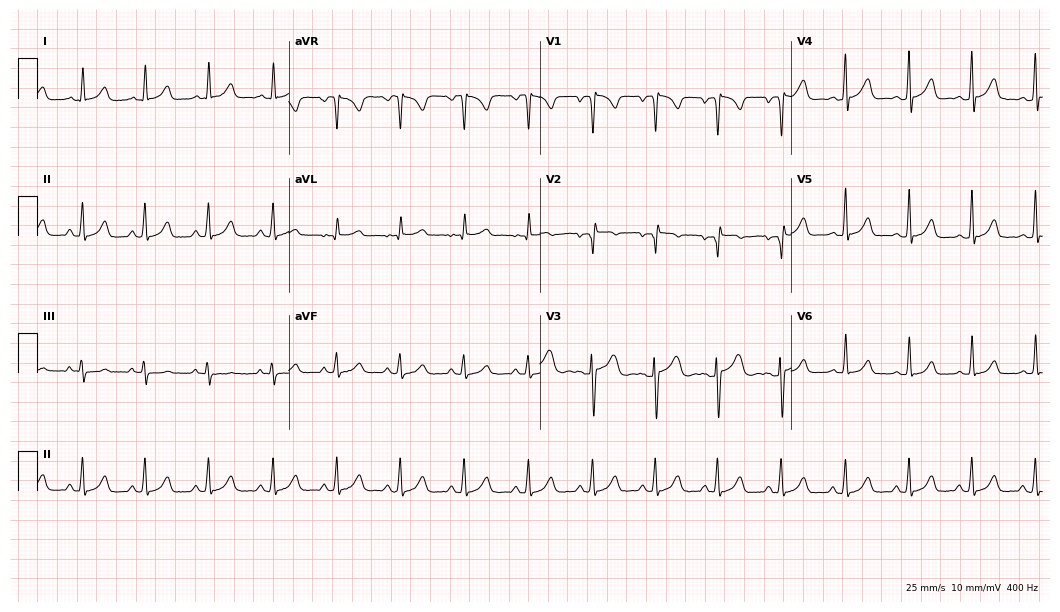
Standard 12-lead ECG recorded from a 26-year-old female patient (10.2-second recording at 400 Hz). Read as a normal ECG.